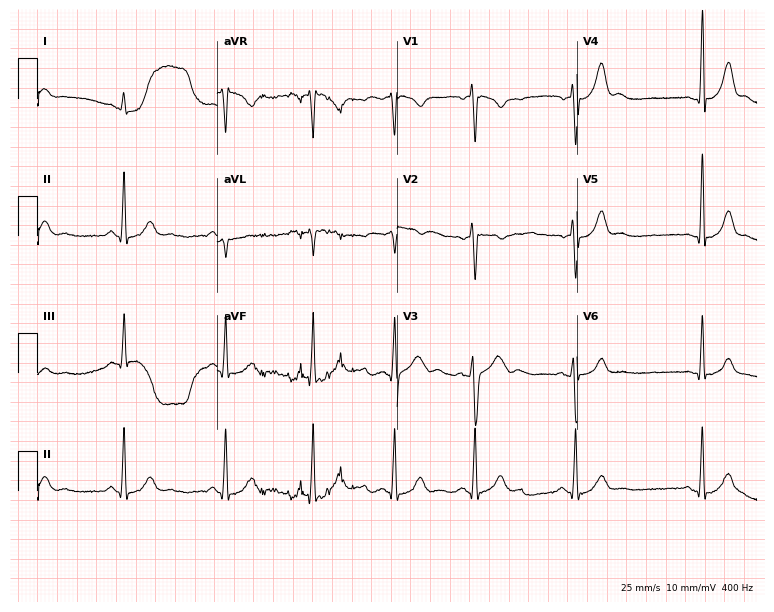
ECG — a 30-year-old man. Screened for six findings — first-degree AV block, right bundle branch block (RBBB), left bundle branch block (LBBB), sinus bradycardia, atrial fibrillation (AF), sinus tachycardia — none is recorded. Only these six findings were labelled.